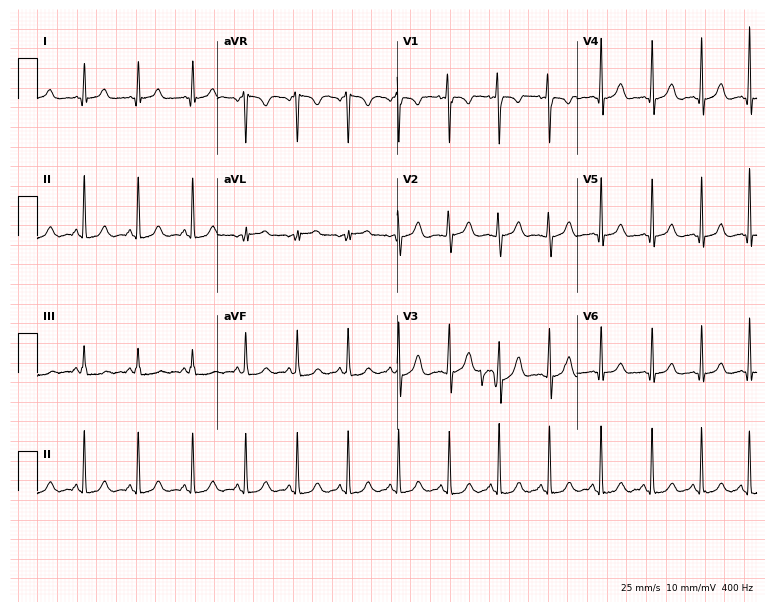
12-lead ECG from a 24-year-old female. Shows sinus tachycardia (a sinus rate of 100 beats per minute or more).